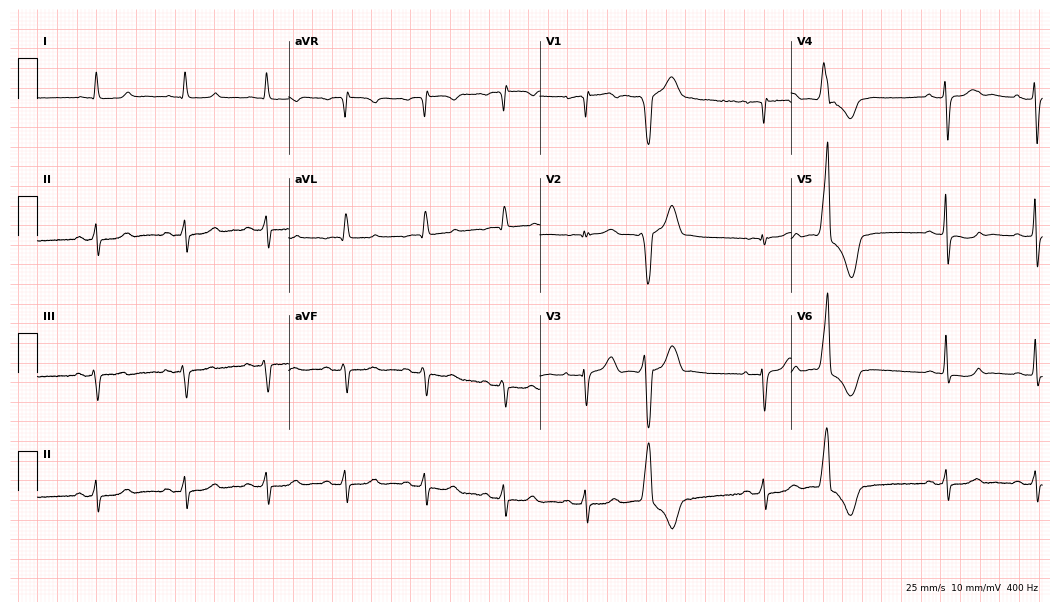
Electrocardiogram (10.2-second recording at 400 Hz), a male patient, 60 years old. Of the six screened findings (first-degree AV block, right bundle branch block (RBBB), left bundle branch block (LBBB), sinus bradycardia, atrial fibrillation (AF), sinus tachycardia), none is recorded. Other findings, if any, are not listed.